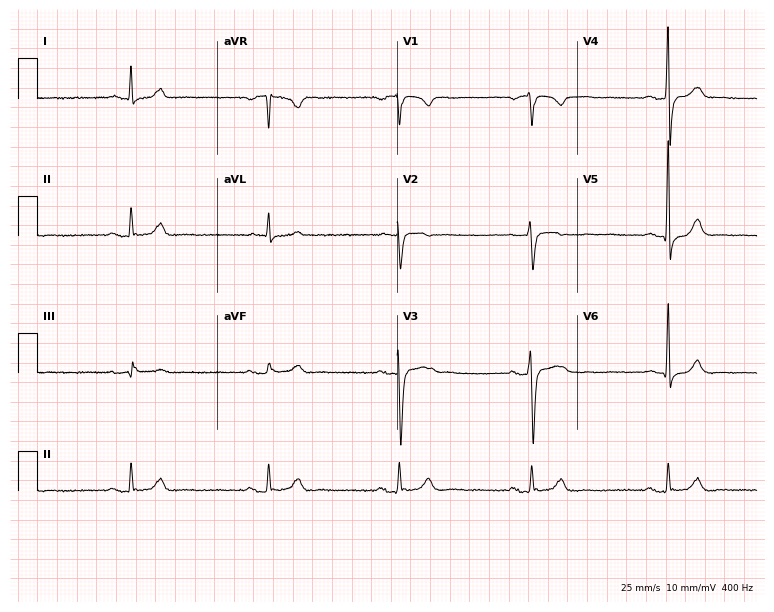
Standard 12-lead ECG recorded from a male, 51 years old. The tracing shows sinus bradycardia (a sinus rate of 50 beats per minute or less).